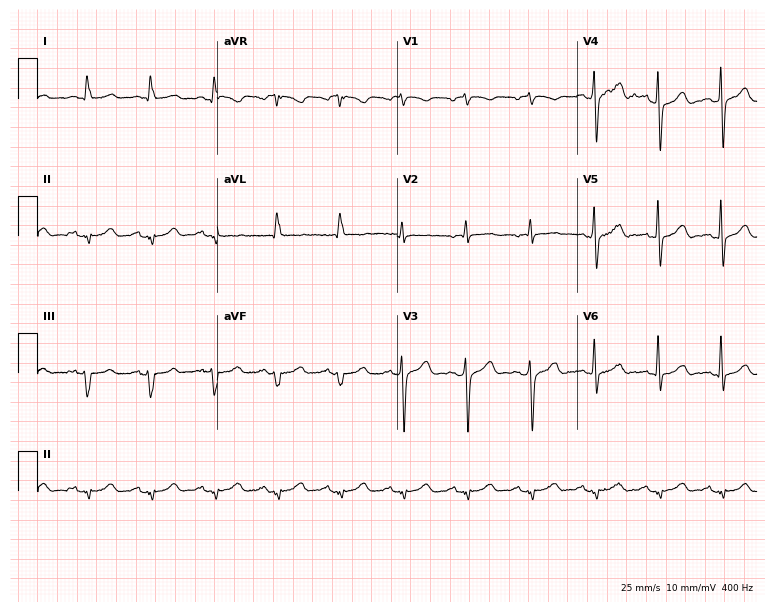
12-lead ECG from a male patient, 69 years old (7.3-second recording at 400 Hz). No first-degree AV block, right bundle branch block, left bundle branch block, sinus bradycardia, atrial fibrillation or sinus tachycardia recorded for this tracing. Findings outside these six are not listed.